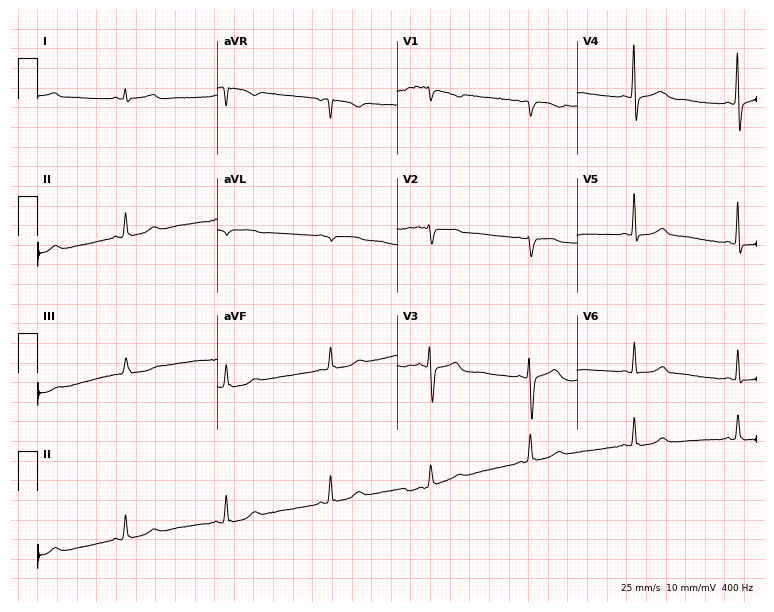
Standard 12-lead ECG recorded from a 47-year-old female patient (7.3-second recording at 400 Hz). None of these six findings is recorded: first-degree AV block, right bundle branch block (RBBB), left bundle branch block (LBBB), sinus bradycardia, atrial fibrillation (AF), sinus tachycardia. Only these six findings were labelled.